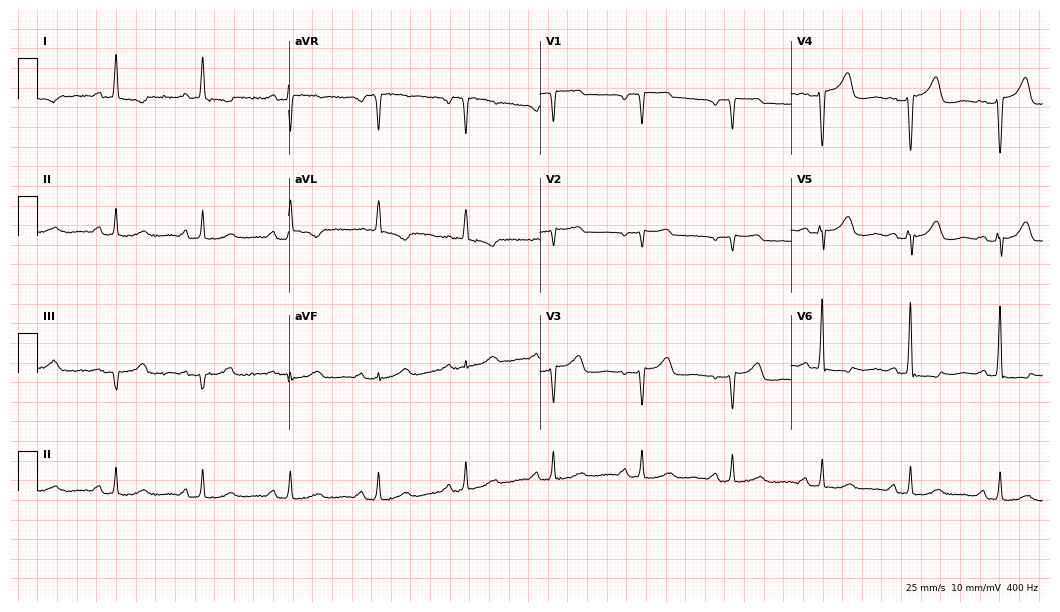
Resting 12-lead electrocardiogram (10.2-second recording at 400 Hz). Patient: a 65-year-old female. The tracing shows first-degree AV block.